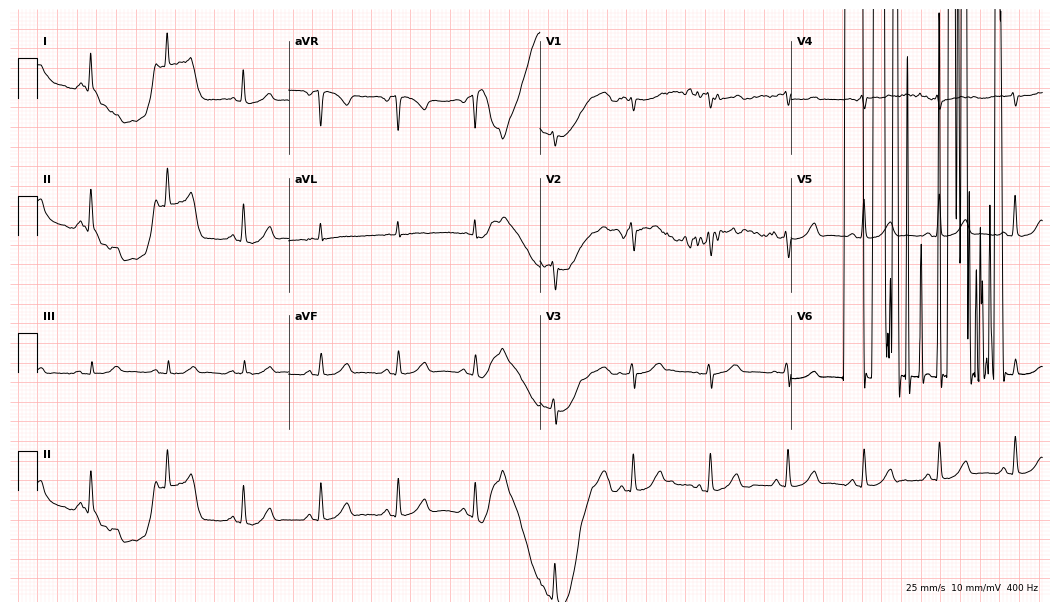
Resting 12-lead electrocardiogram. Patient: a 63-year-old female. None of these six findings is recorded: first-degree AV block, right bundle branch block, left bundle branch block, sinus bradycardia, atrial fibrillation, sinus tachycardia.